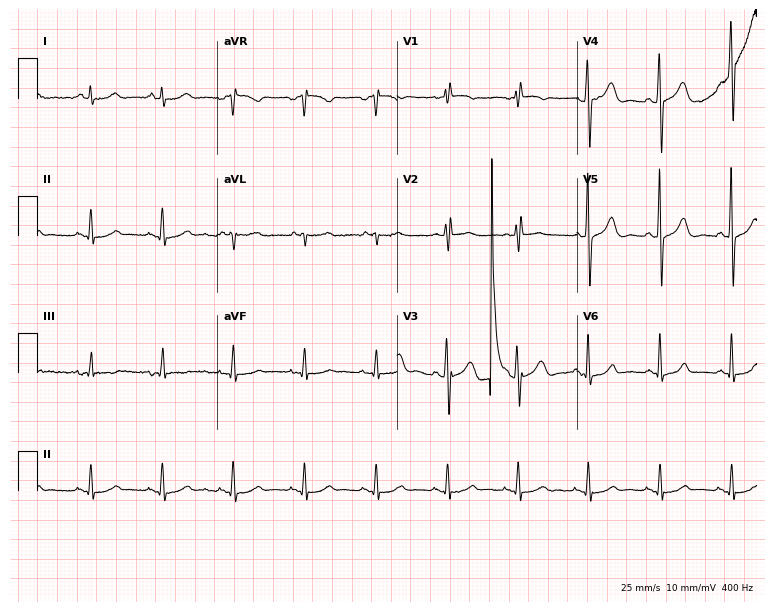
12-lead ECG (7.3-second recording at 400 Hz) from a female patient, 76 years old. Screened for six findings — first-degree AV block, right bundle branch block (RBBB), left bundle branch block (LBBB), sinus bradycardia, atrial fibrillation (AF), sinus tachycardia — none is recorded.